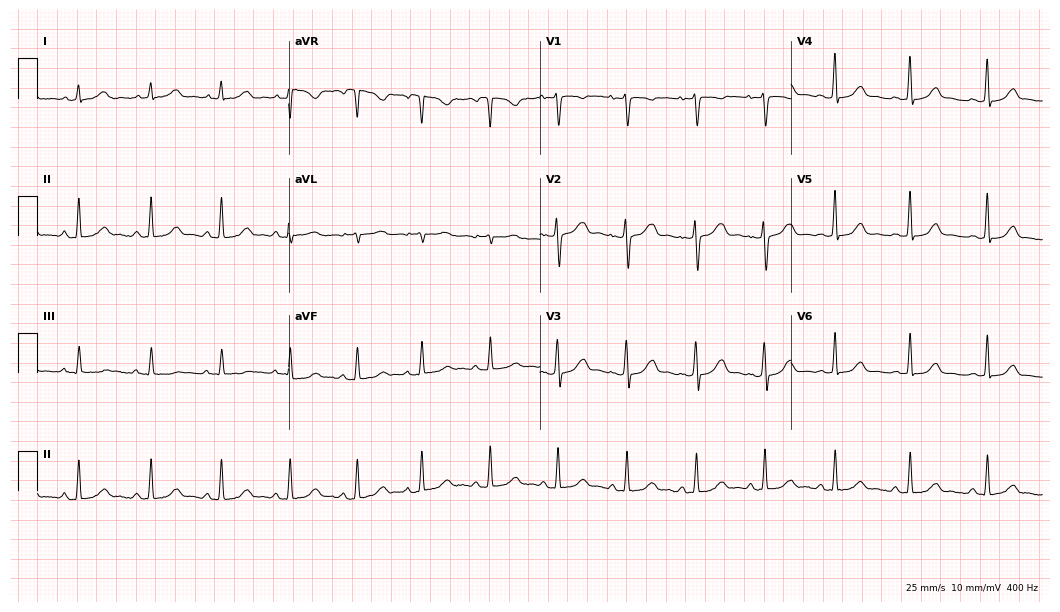
12-lead ECG from a 30-year-old woman. Labelled as a normal ECG.